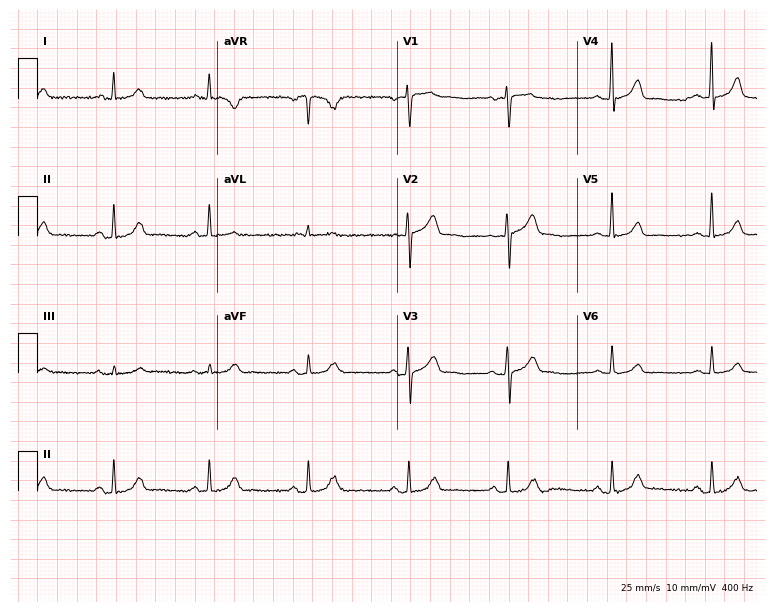
Standard 12-lead ECG recorded from a 59-year-old male. Read as a normal ECG.